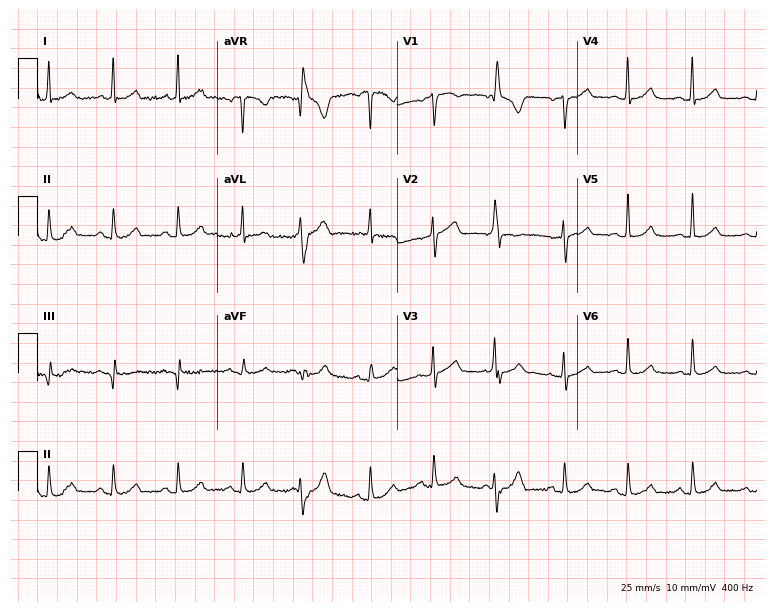
Resting 12-lead electrocardiogram (7.3-second recording at 400 Hz). Patient: a female, 61 years old. None of these six findings is recorded: first-degree AV block, right bundle branch block, left bundle branch block, sinus bradycardia, atrial fibrillation, sinus tachycardia. Other findings, if any, are not listed.